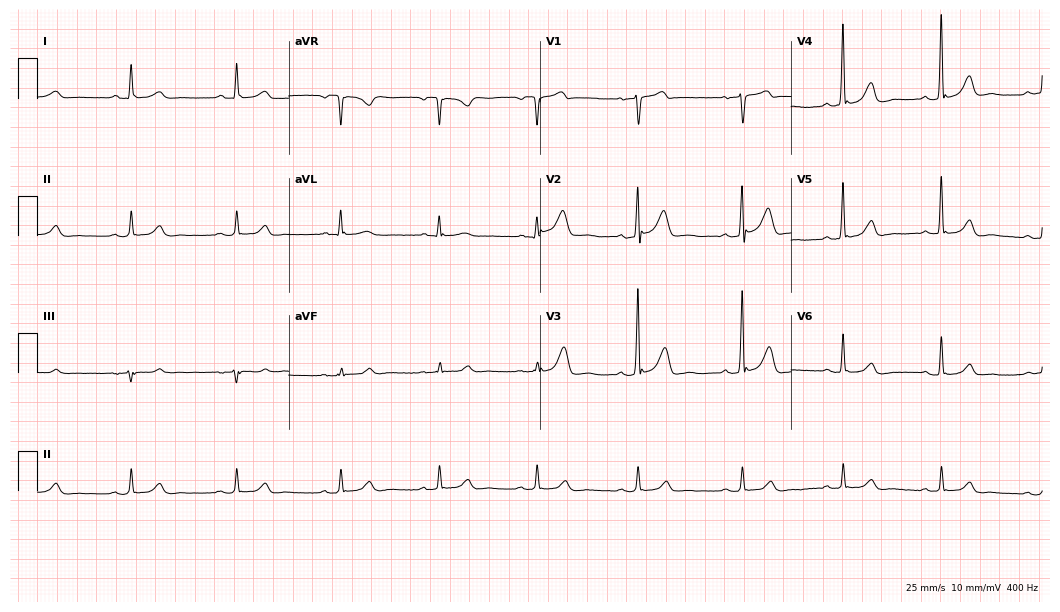
12-lead ECG (10.2-second recording at 400 Hz) from a man, 56 years old. Labelled as a normal ECG.